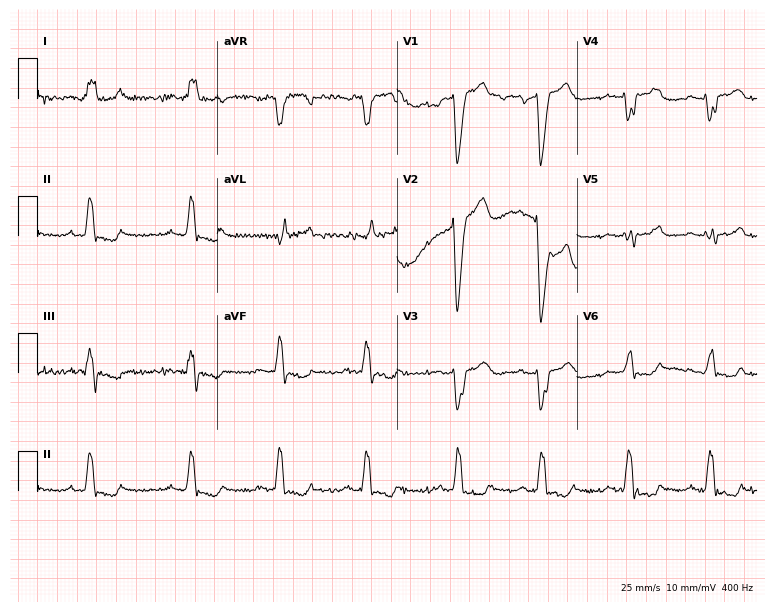
ECG (7.3-second recording at 400 Hz) — an 82-year-old woman. Findings include left bundle branch block.